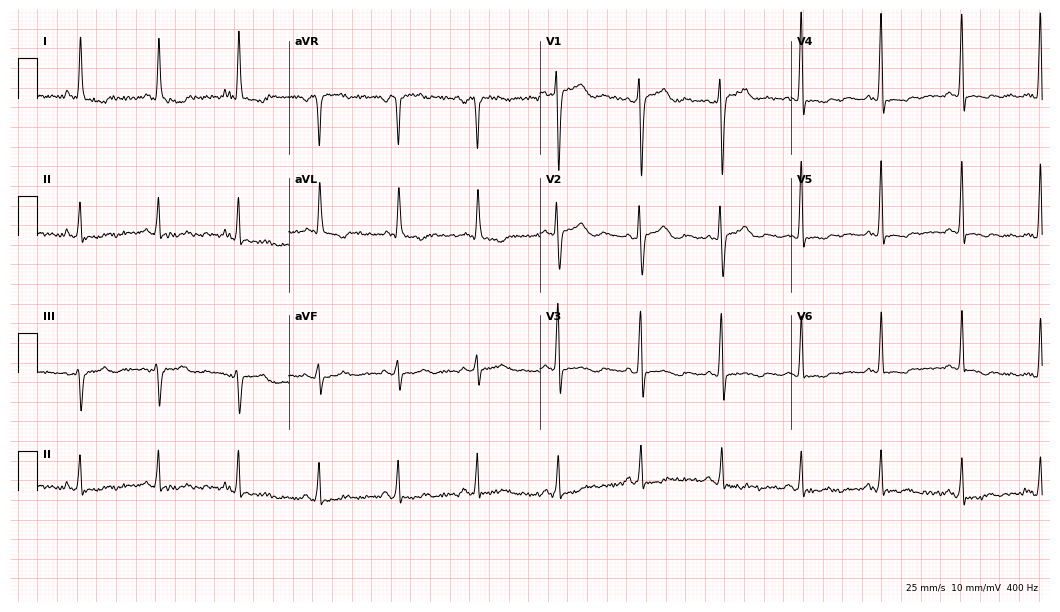
Electrocardiogram (10.2-second recording at 400 Hz), a 76-year-old woman. Of the six screened findings (first-degree AV block, right bundle branch block (RBBB), left bundle branch block (LBBB), sinus bradycardia, atrial fibrillation (AF), sinus tachycardia), none is recorded. Findings outside these six are not listed.